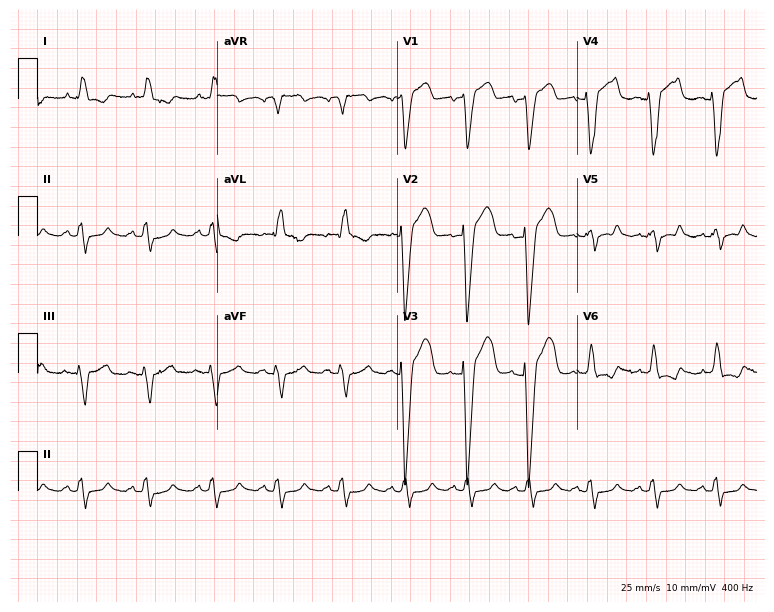
ECG (7.3-second recording at 400 Hz) — a male patient, 72 years old. Findings include left bundle branch block (LBBB).